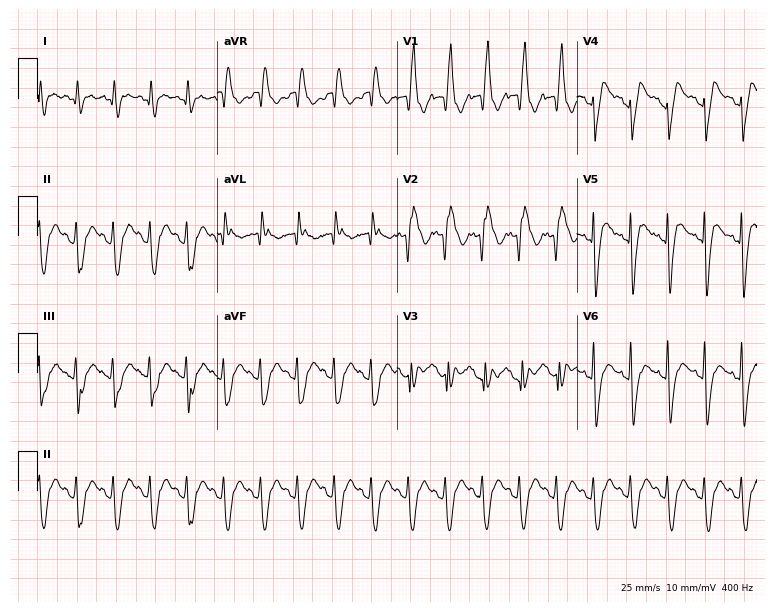
Standard 12-lead ECG recorded from a man, 32 years old. The tracing shows right bundle branch block, sinus tachycardia (a sinus rate of 100 beats per minute or more).